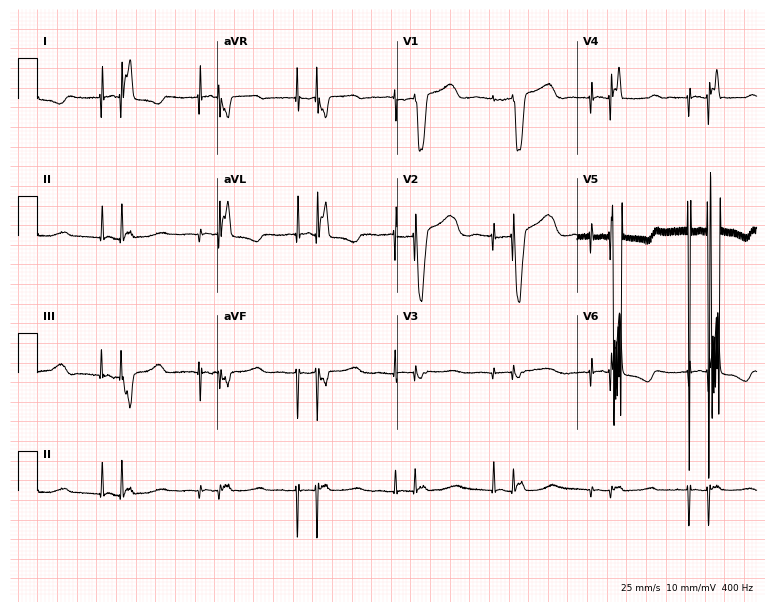
ECG — a female, 72 years old. Screened for six findings — first-degree AV block, right bundle branch block, left bundle branch block, sinus bradycardia, atrial fibrillation, sinus tachycardia — none is recorded.